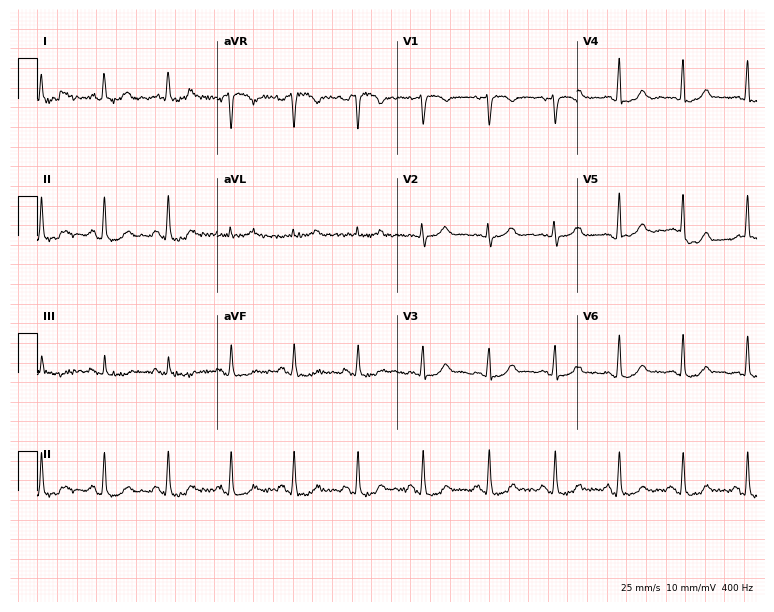
12-lead ECG from a woman, 46 years old (7.3-second recording at 400 Hz). No first-degree AV block, right bundle branch block, left bundle branch block, sinus bradycardia, atrial fibrillation or sinus tachycardia recorded for this tracing.